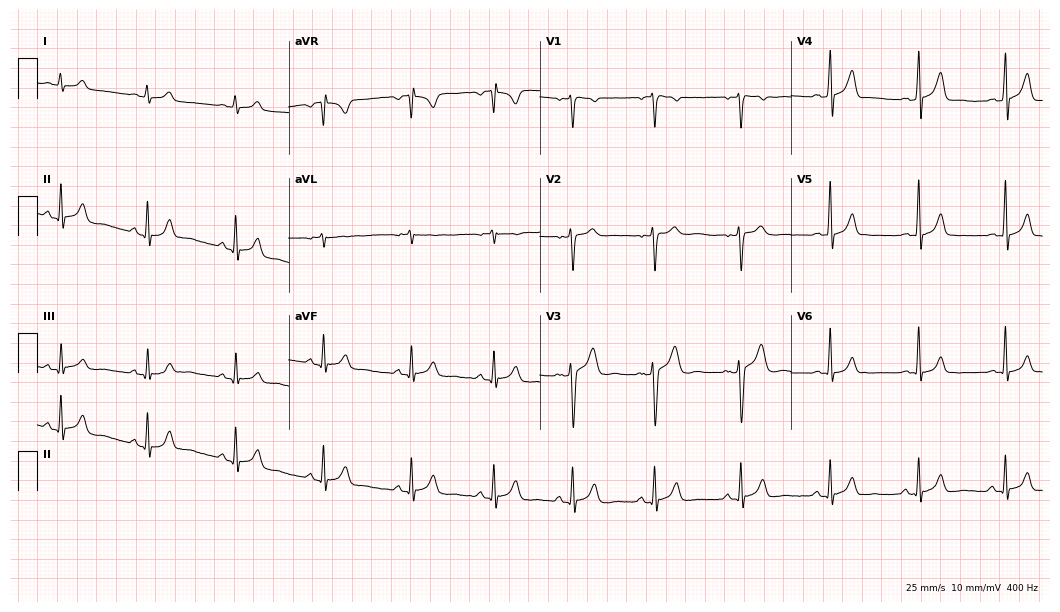
Resting 12-lead electrocardiogram. Patient: a man, 31 years old. Read as a normal ECG.